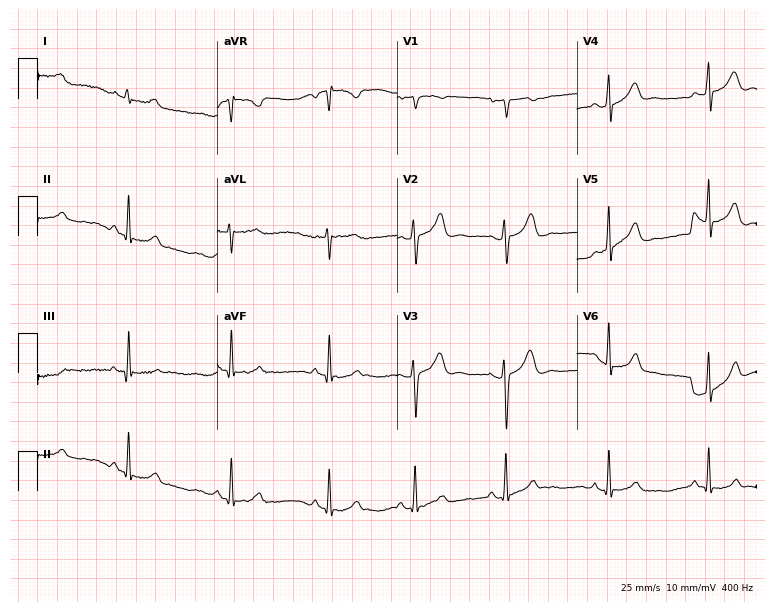
Standard 12-lead ECG recorded from a 28-year-old female patient (7.3-second recording at 400 Hz). None of these six findings is recorded: first-degree AV block, right bundle branch block (RBBB), left bundle branch block (LBBB), sinus bradycardia, atrial fibrillation (AF), sinus tachycardia.